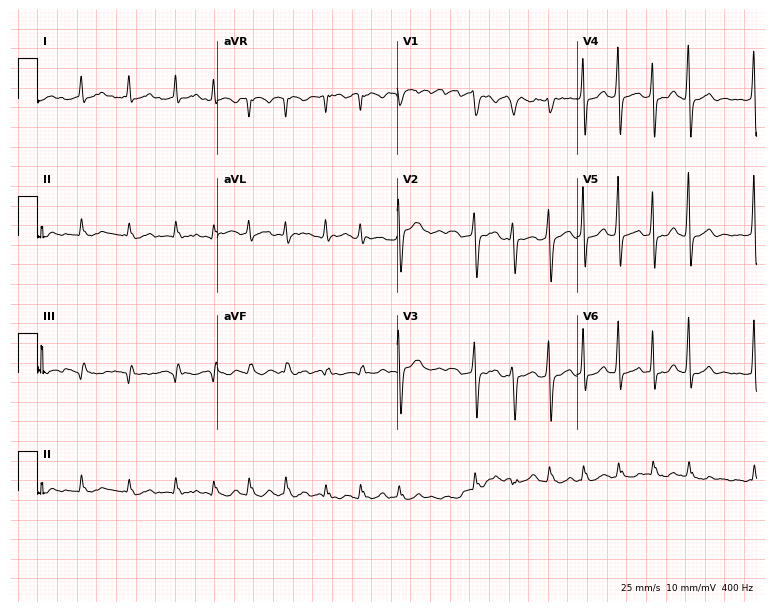
Standard 12-lead ECG recorded from a 64-year-old male (7.3-second recording at 400 Hz). The tracing shows atrial fibrillation.